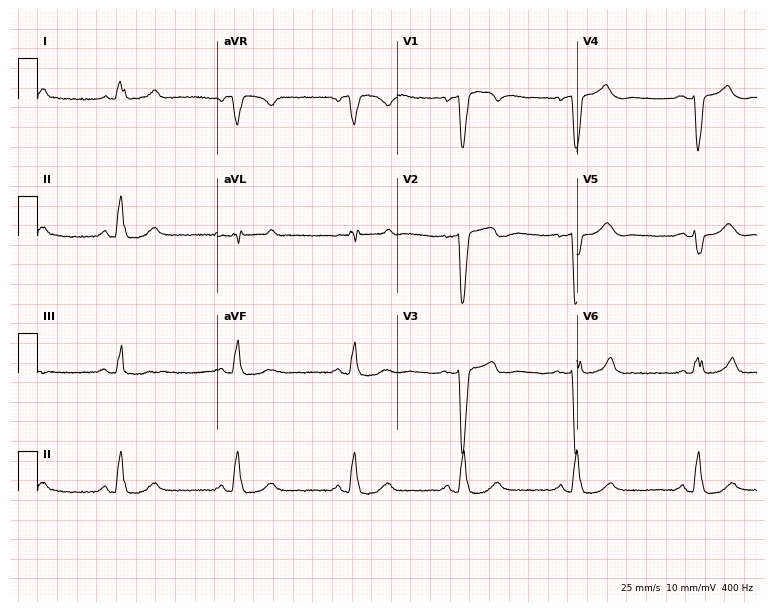
Standard 12-lead ECG recorded from a 50-year-old woman (7.3-second recording at 400 Hz). The tracing shows left bundle branch block.